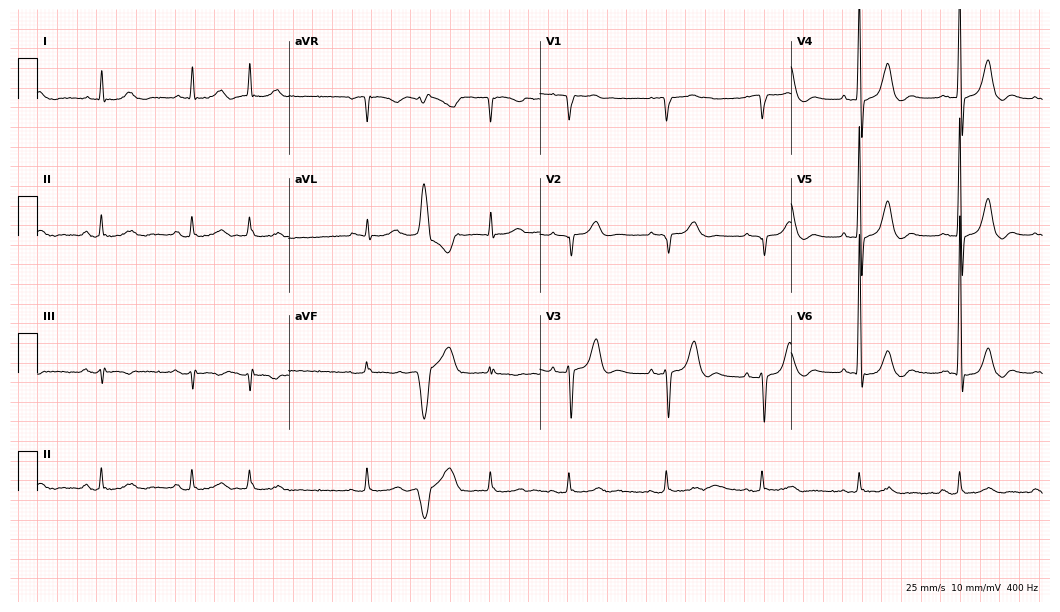
12-lead ECG from an 82-year-old man. Screened for six findings — first-degree AV block, right bundle branch block (RBBB), left bundle branch block (LBBB), sinus bradycardia, atrial fibrillation (AF), sinus tachycardia — none is recorded. Only these six findings were labelled.